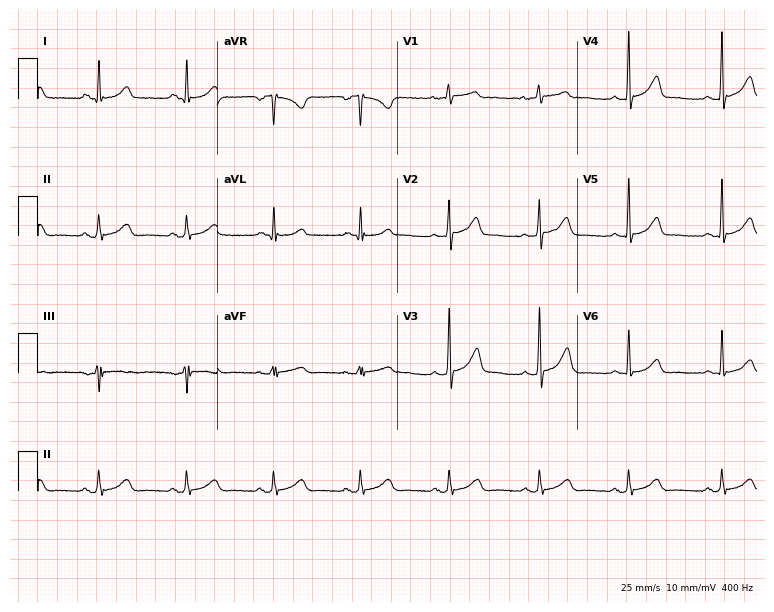
Standard 12-lead ECG recorded from a 33-year-old woman. Read as a normal ECG.